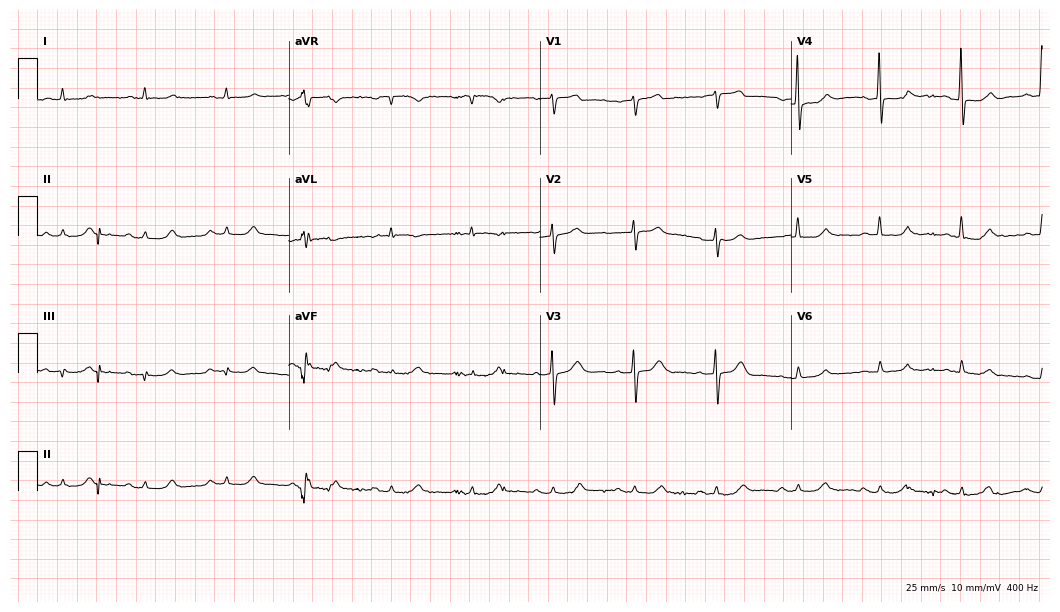
Electrocardiogram (10.2-second recording at 400 Hz), an 81-year-old male. Of the six screened findings (first-degree AV block, right bundle branch block (RBBB), left bundle branch block (LBBB), sinus bradycardia, atrial fibrillation (AF), sinus tachycardia), none is recorded. Other findings, if any, are not listed.